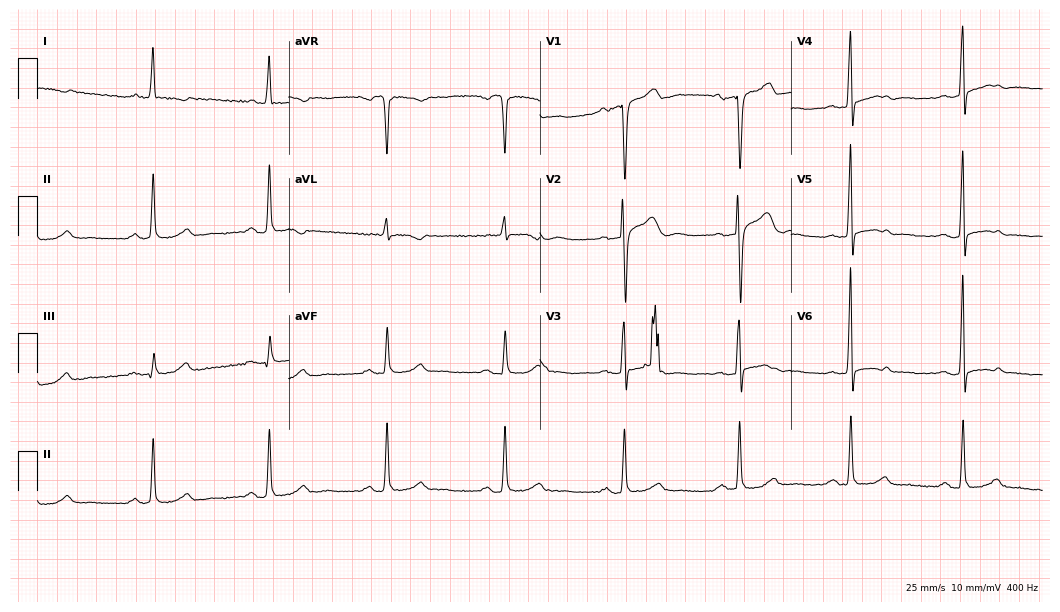
12-lead ECG from a male, 72 years old (10.2-second recording at 400 Hz). No first-degree AV block, right bundle branch block (RBBB), left bundle branch block (LBBB), sinus bradycardia, atrial fibrillation (AF) or sinus tachycardia recorded for this tracing.